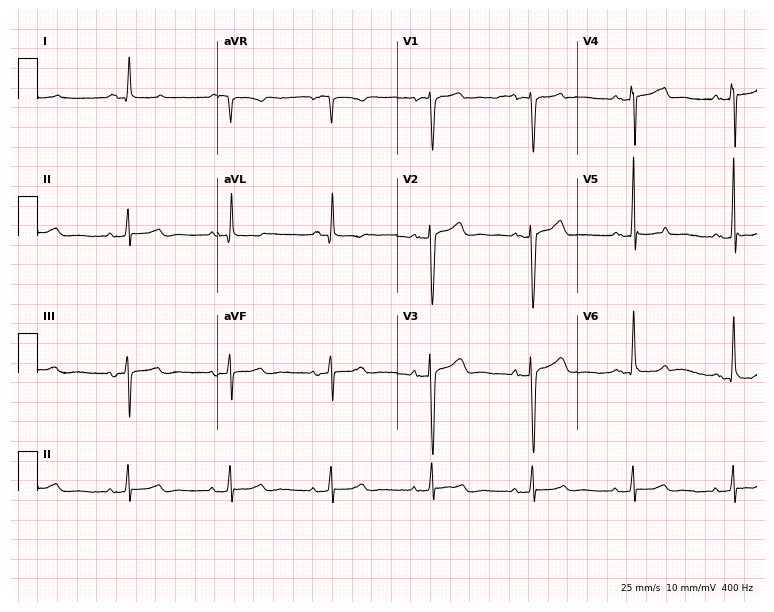
Resting 12-lead electrocardiogram (7.3-second recording at 400 Hz). Patient: a male, 44 years old. Read as a normal ECG.